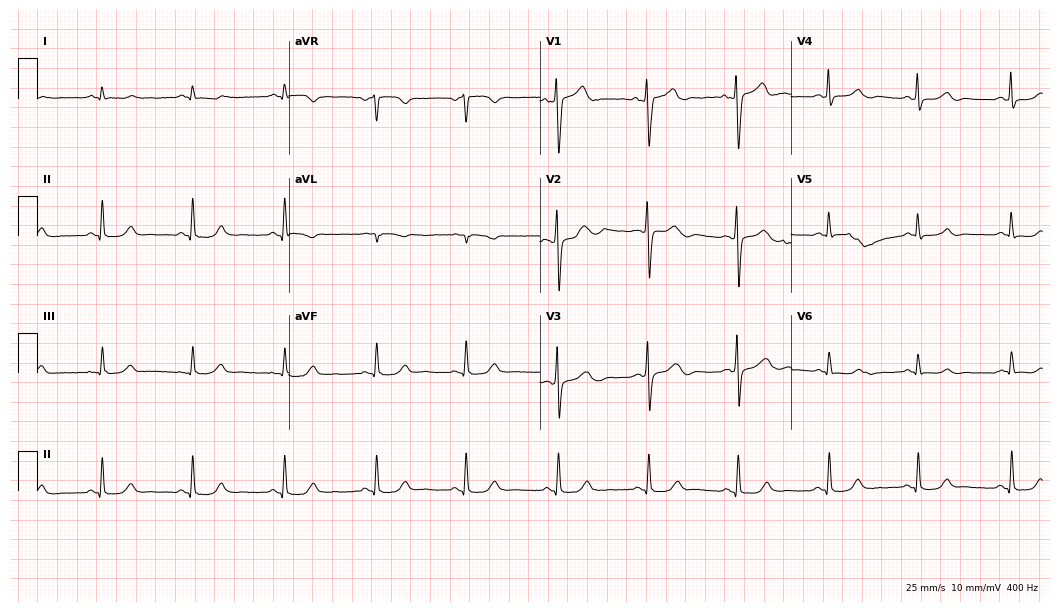
Standard 12-lead ECG recorded from a male, 57 years old. Read as a normal ECG.